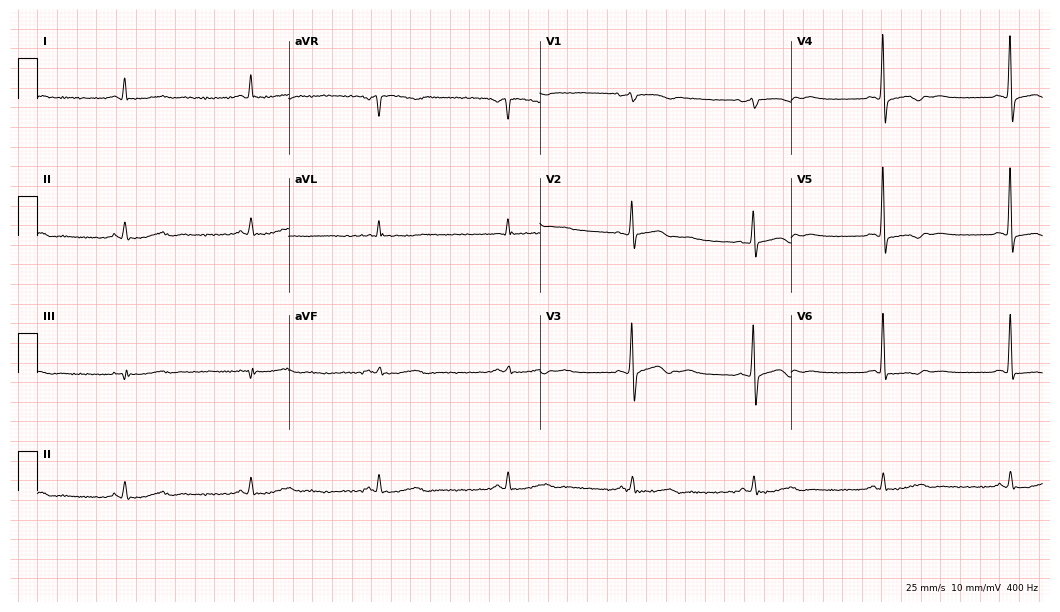
Standard 12-lead ECG recorded from a 61-year-old female patient (10.2-second recording at 400 Hz). None of these six findings is recorded: first-degree AV block, right bundle branch block, left bundle branch block, sinus bradycardia, atrial fibrillation, sinus tachycardia. Findings outside these six are not listed.